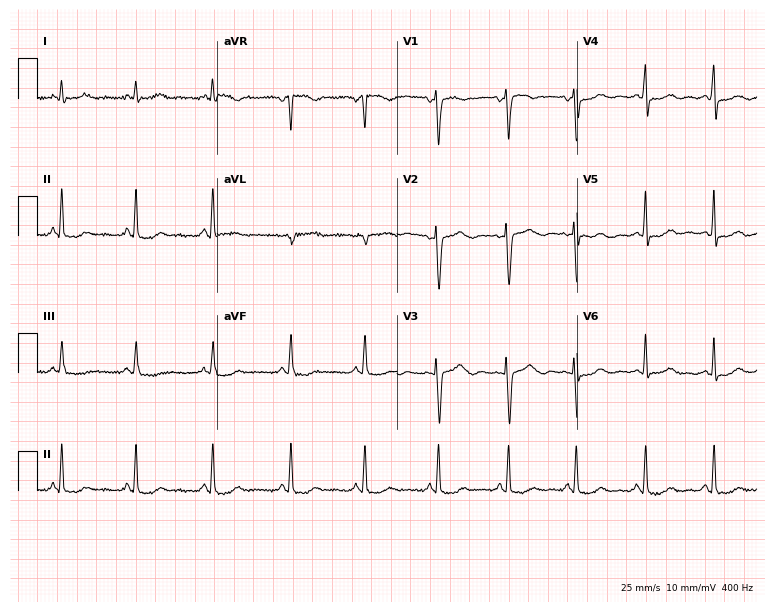
Electrocardiogram, a 52-year-old female. Of the six screened findings (first-degree AV block, right bundle branch block, left bundle branch block, sinus bradycardia, atrial fibrillation, sinus tachycardia), none is recorded.